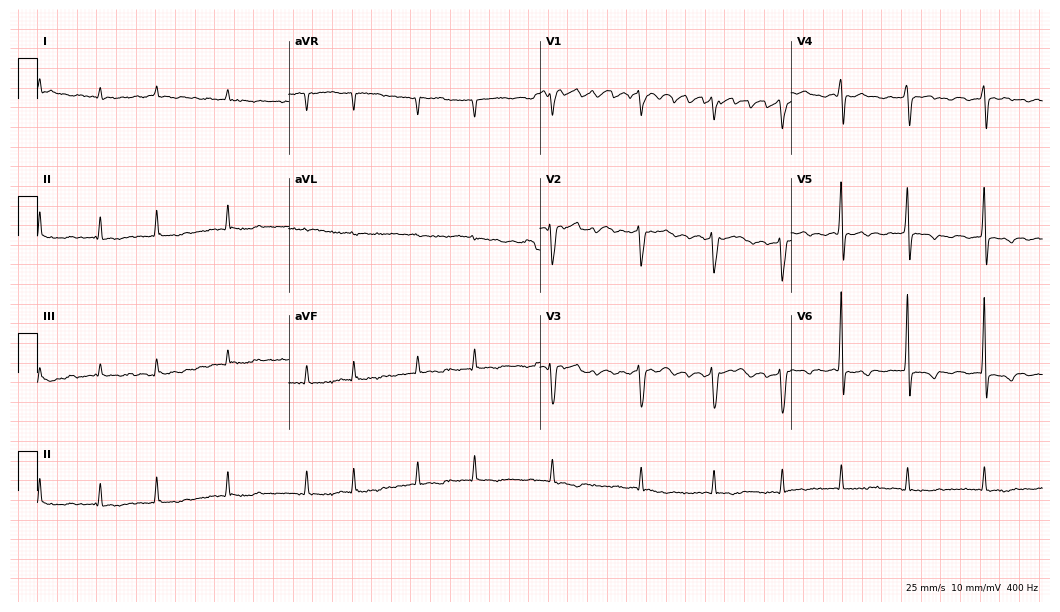
Resting 12-lead electrocardiogram. Patient: a female, 81 years old. The tracing shows atrial fibrillation.